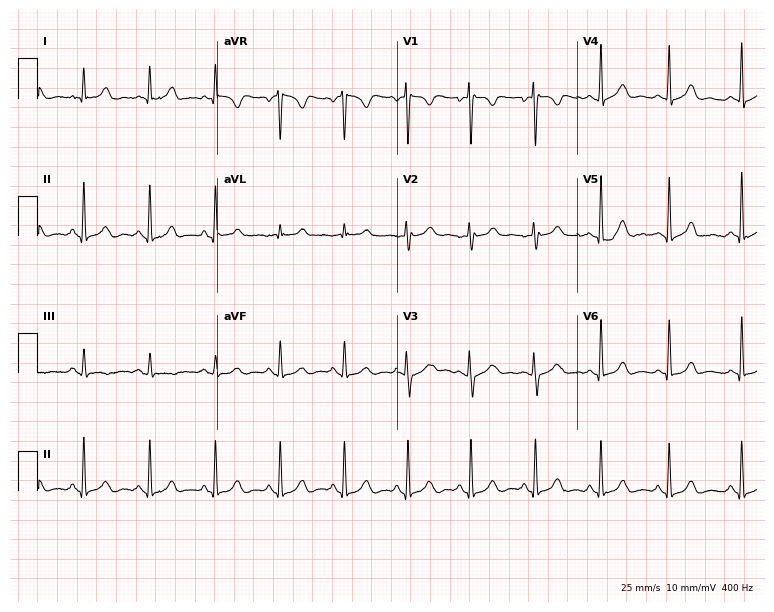
Standard 12-lead ECG recorded from a female, 29 years old. Read as a normal ECG.